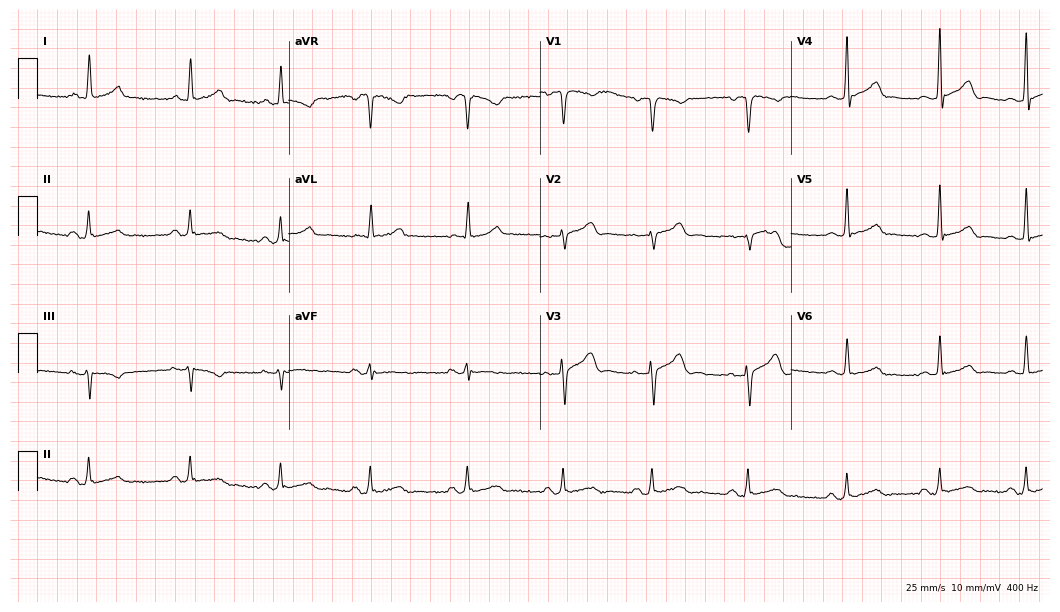
Electrocardiogram, a woman, 46 years old. Overall reading on record: normal ECG.